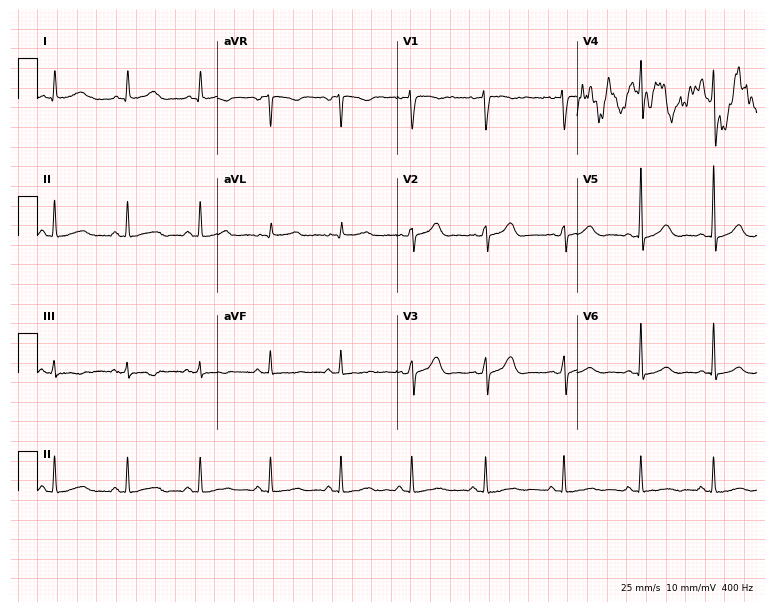
12-lead ECG (7.3-second recording at 400 Hz) from a 43-year-old woman. Screened for six findings — first-degree AV block, right bundle branch block, left bundle branch block, sinus bradycardia, atrial fibrillation, sinus tachycardia — none is recorded. Findings outside these six are not listed.